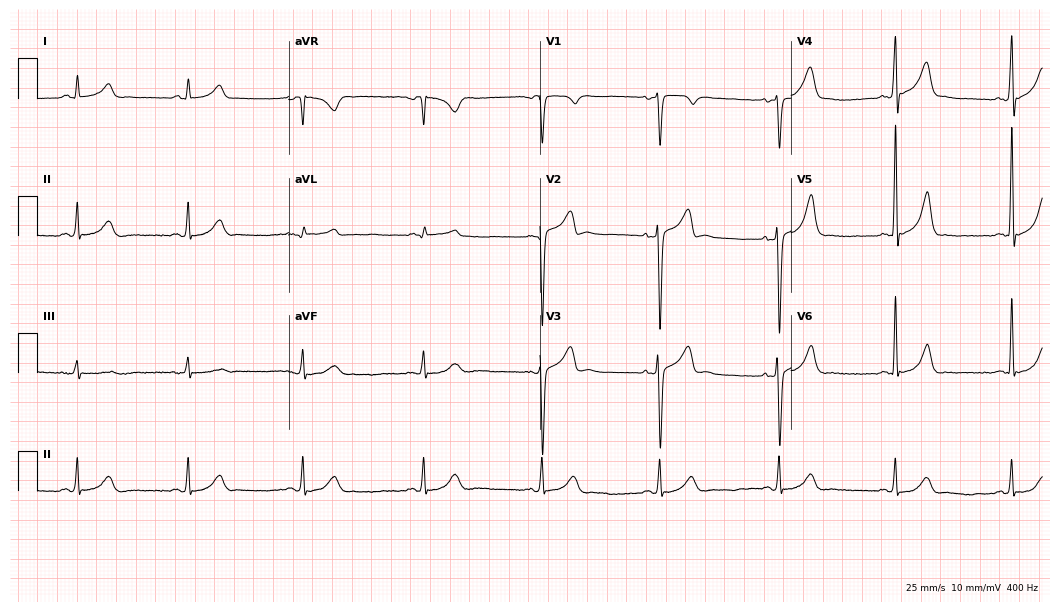
Standard 12-lead ECG recorded from a male, 51 years old. None of these six findings is recorded: first-degree AV block, right bundle branch block, left bundle branch block, sinus bradycardia, atrial fibrillation, sinus tachycardia.